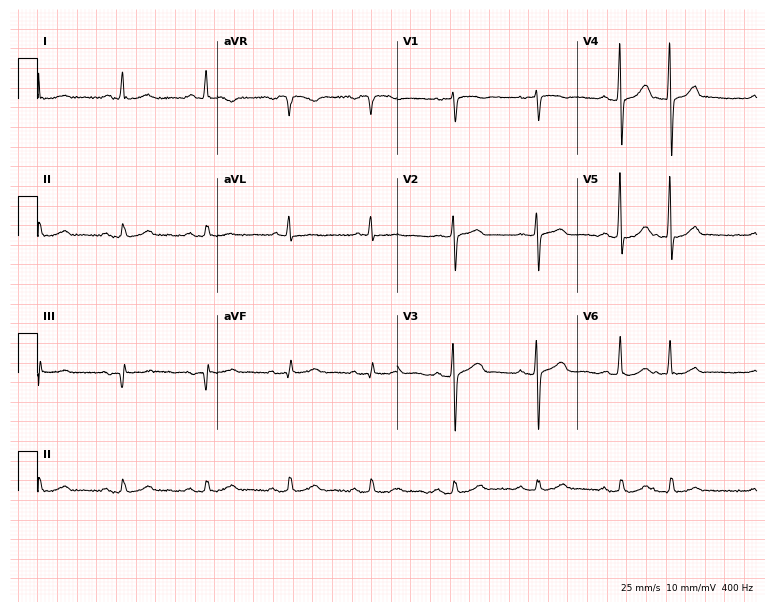
12-lead ECG from a male patient, 75 years old. Screened for six findings — first-degree AV block, right bundle branch block, left bundle branch block, sinus bradycardia, atrial fibrillation, sinus tachycardia — none is recorded. Findings outside these six are not listed.